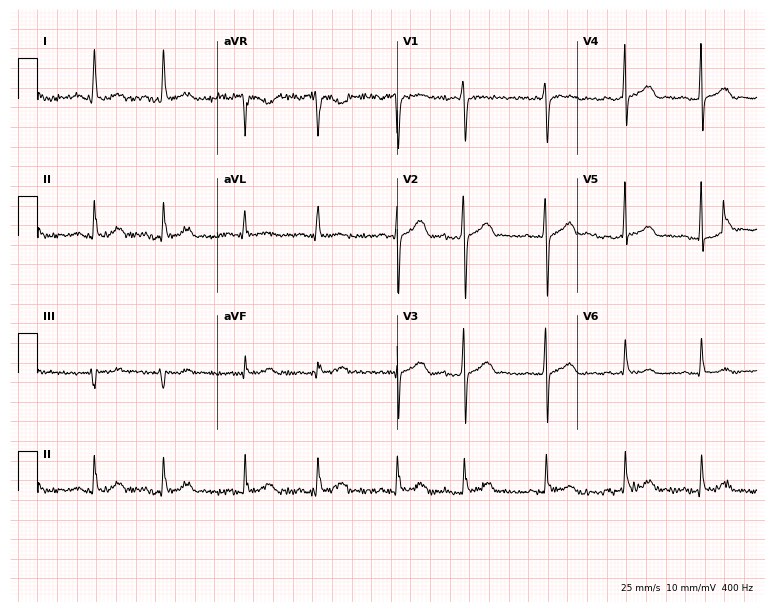
12-lead ECG from a 60-year-old female patient (7.3-second recording at 400 Hz). No first-degree AV block, right bundle branch block (RBBB), left bundle branch block (LBBB), sinus bradycardia, atrial fibrillation (AF) or sinus tachycardia recorded for this tracing. Only these six findings were labelled.